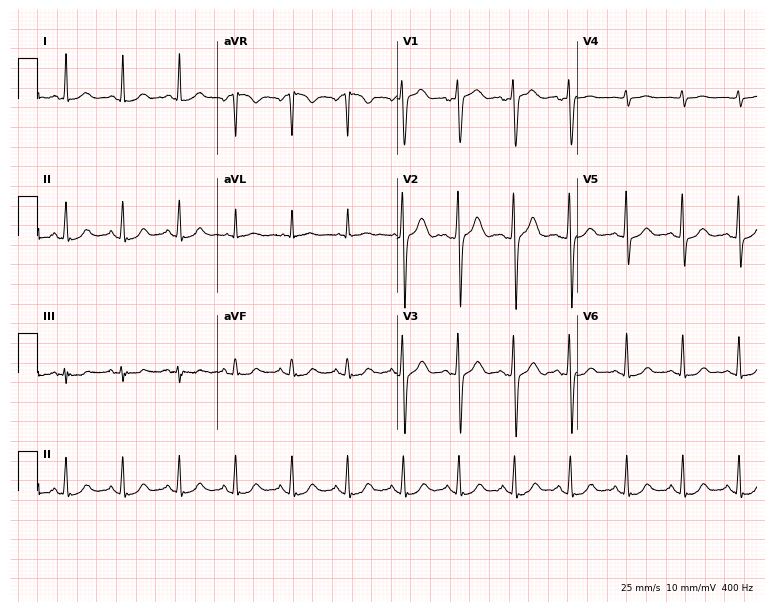
Standard 12-lead ECG recorded from a female patient, 51 years old. Read as a normal ECG.